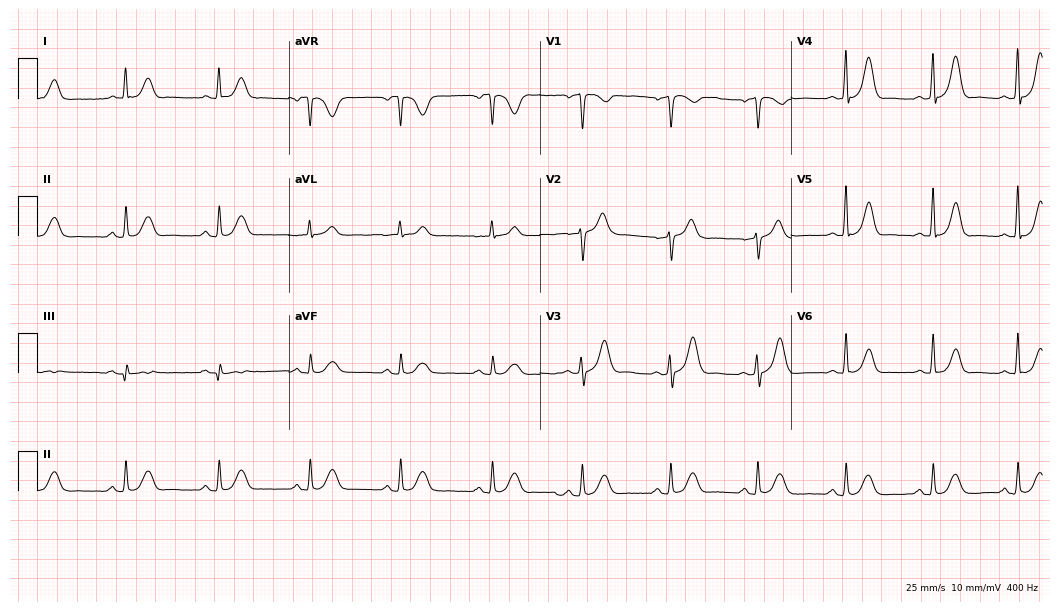
Standard 12-lead ECG recorded from a female patient, 64 years old (10.2-second recording at 400 Hz). Read as a normal ECG.